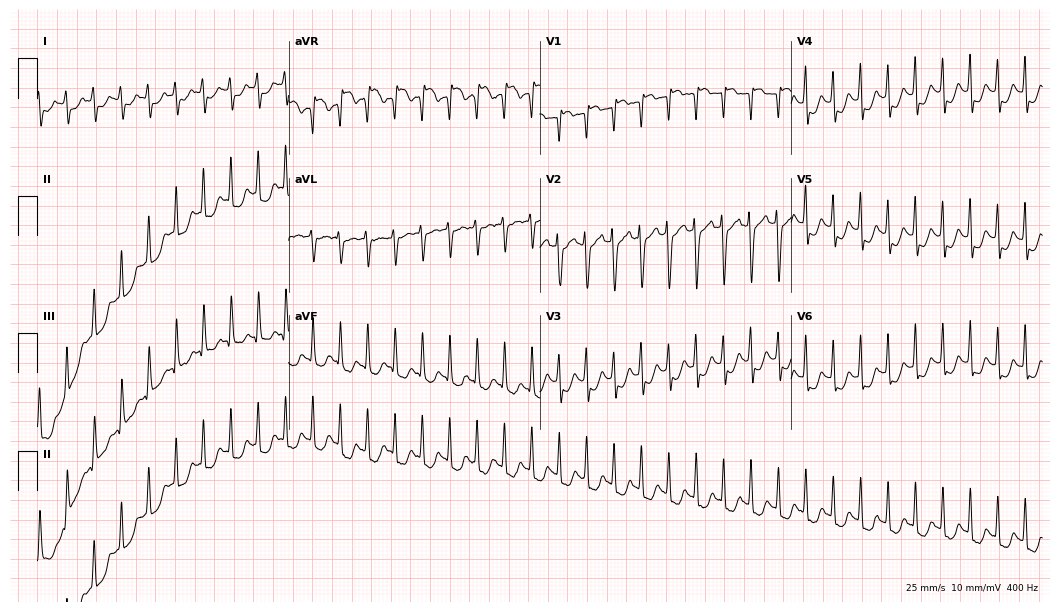
Resting 12-lead electrocardiogram. Patient: a 29-year-old woman. None of these six findings is recorded: first-degree AV block, right bundle branch block, left bundle branch block, sinus bradycardia, atrial fibrillation, sinus tachycardia.